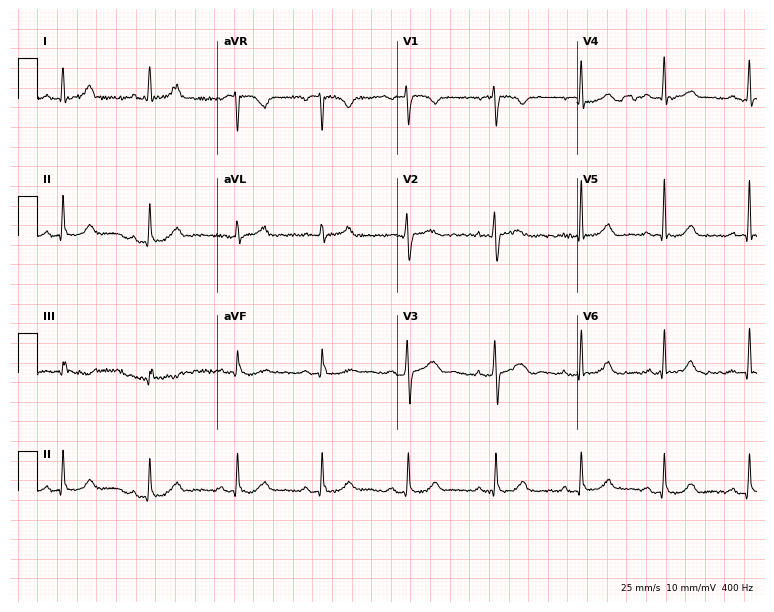
12-lead ECG from a female, 33 years old. No first-degree AV block, right bundle branch block, left bundle branch block, sinus bradycardia, atrial fibrillation or sinus tachycardia recorded for this tracing.